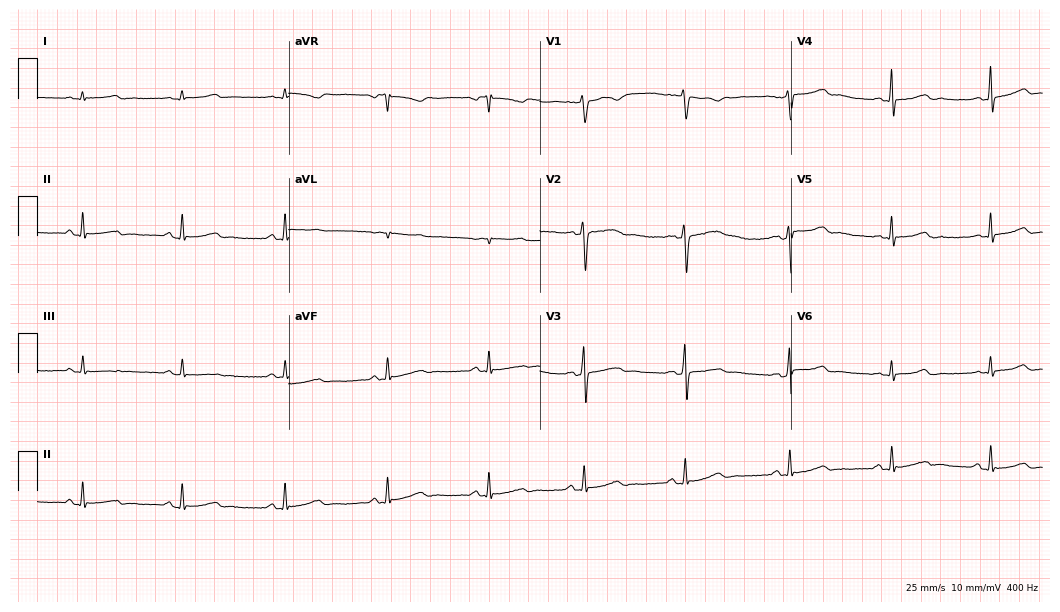
12-lead ECG (10.2-second recording at 400 Hz) from a woman, 36 years old. Labelled as a normal ECG.